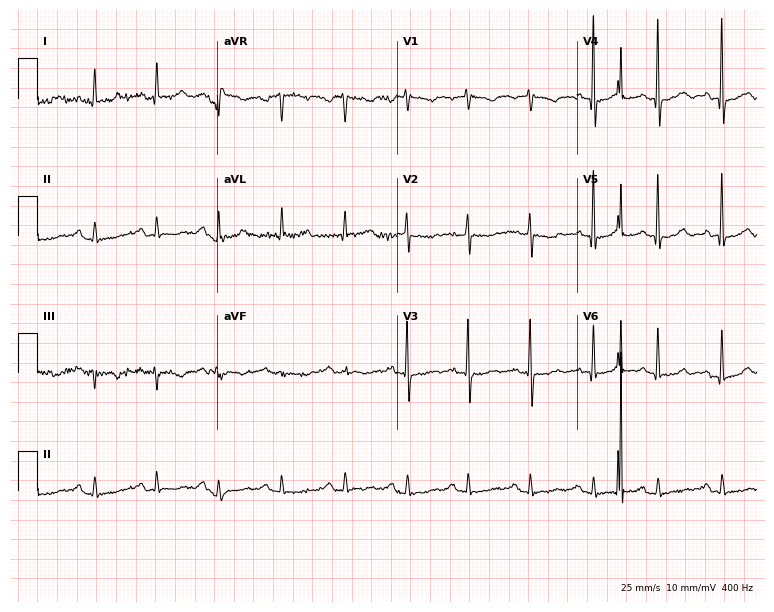
Electrocardiogram, a female, 70 years old. Overall reading on record: normal ECG.